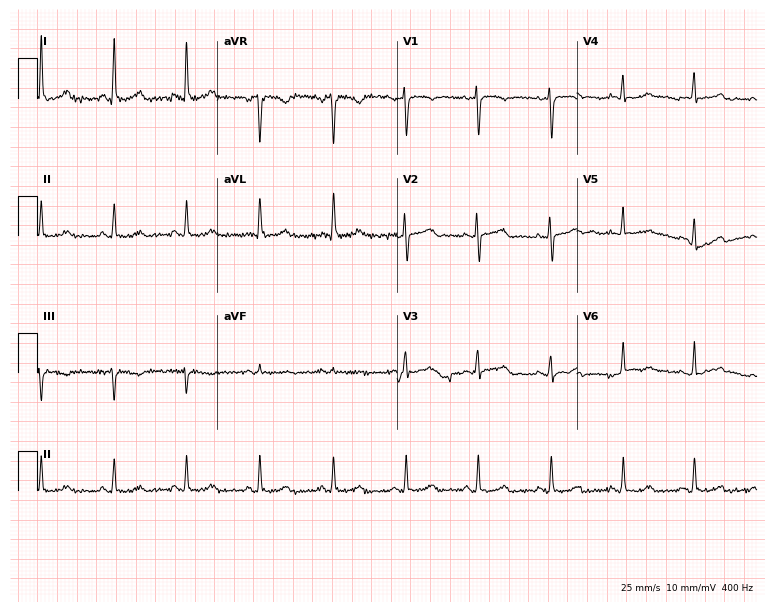
Standard 12-lead ECG recorded from a 46-year-old woman (7.3-second recording at 400 Hz). Read as a normal ECG.